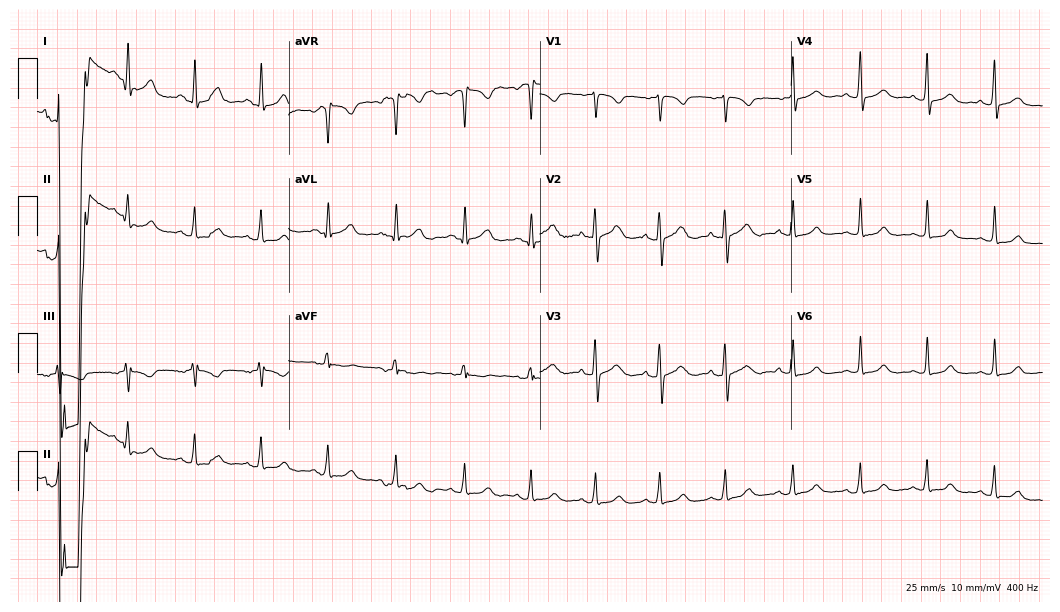
12-lead ECG from a 27-year-old female patient. No first-degree AV block, right bundle branch block (RBBB), left bundle branch block (LBBB), sinus bradycardia, atrial fibrillation (AF) or sinus tachycardia recorded for this tracing. Only these six findings were labelled.